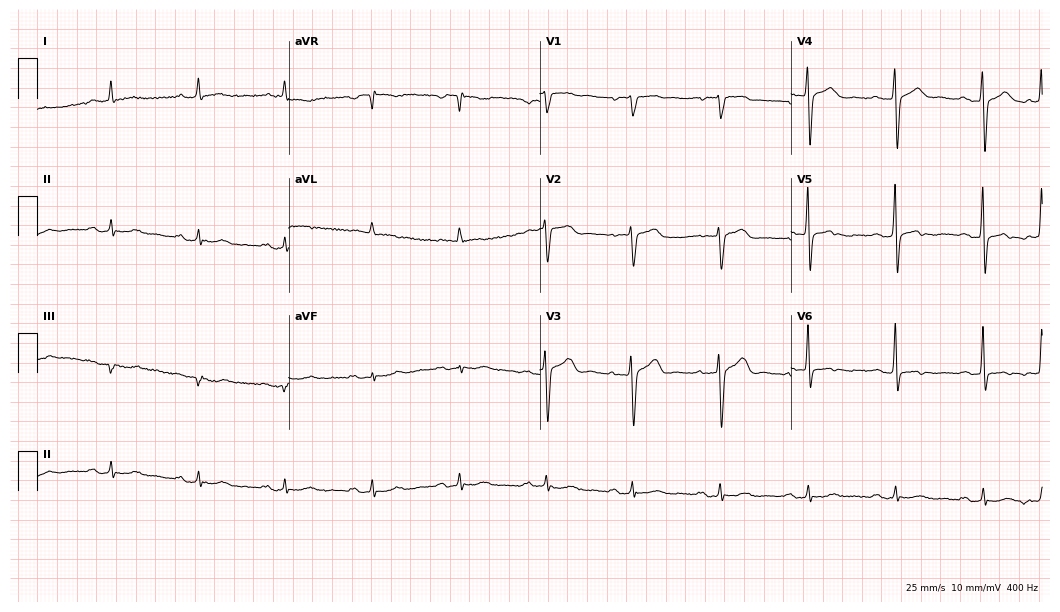
ECG (10.2-second recording at 400 Hz) — a male, 71 years old. Screened for six findings — first-degree AV block, right bundle branch block, left bundle branch block, sinus bradycardia, atrial fibrillation, sinus tachycardia — none is recorded.